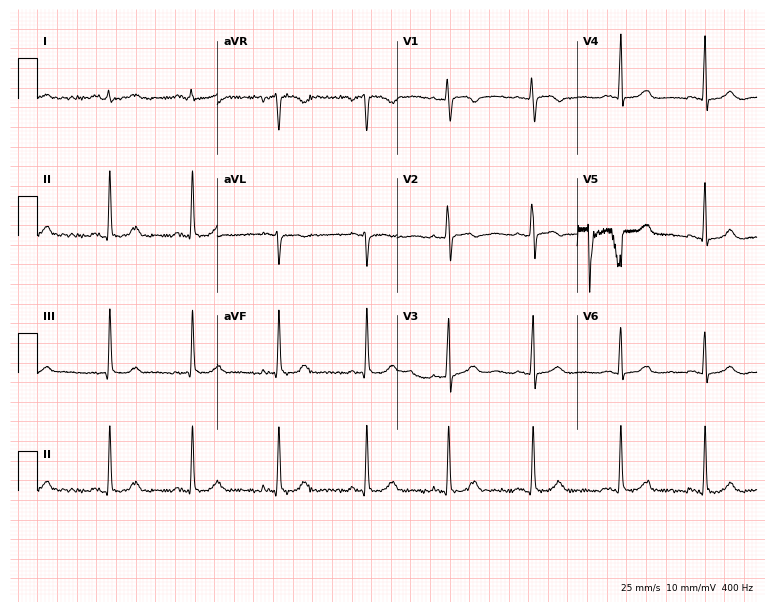
Standard 12-lead ECG recorded from a 29-year-old woman. Read as a normal ECG.